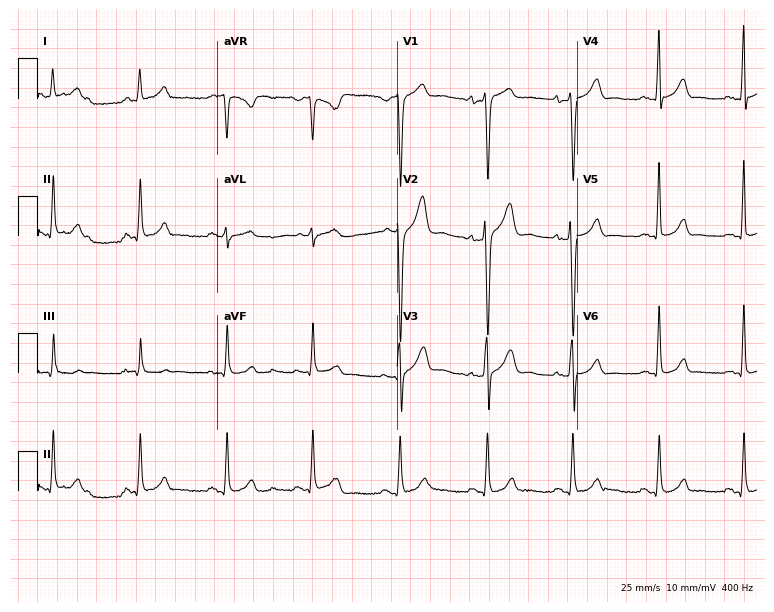
12-lead ECG from a 34-year-old male patient. Screened for six findings — first-degree AV block, right bundle branch block, left bundle branch block, sinus bradycardia, atrial fibrillation, sinus tachycardia — none is recorded. Only these six findings were labelled.